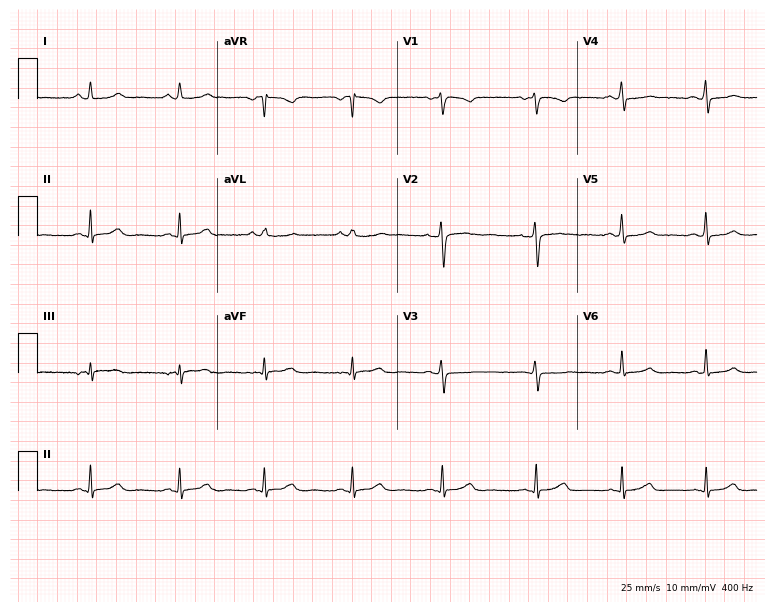
Standard 12-lead ECG recorded from a female, 34 years old (7.3-second recording at 400 Hz). Read as a normal ECG.